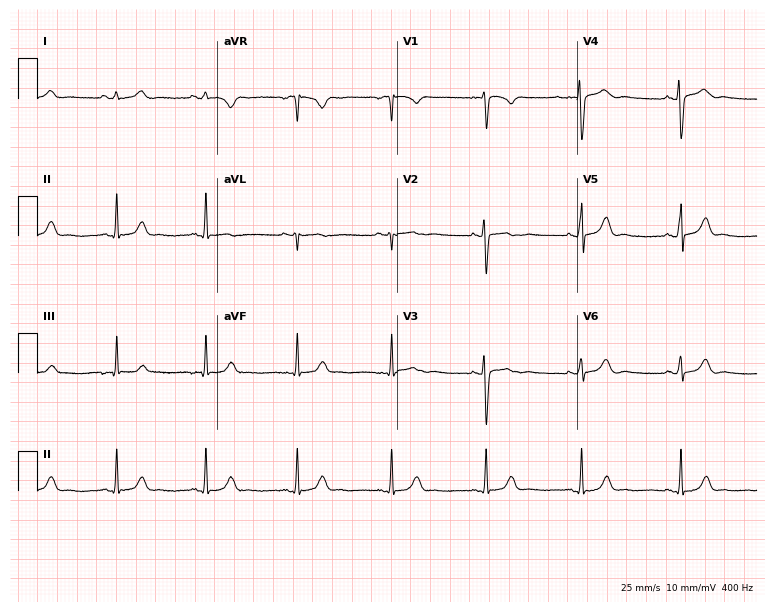
Resting 12-lead electrocardiogram. Patient: a 24-year-old male. Read as a normal ECG.